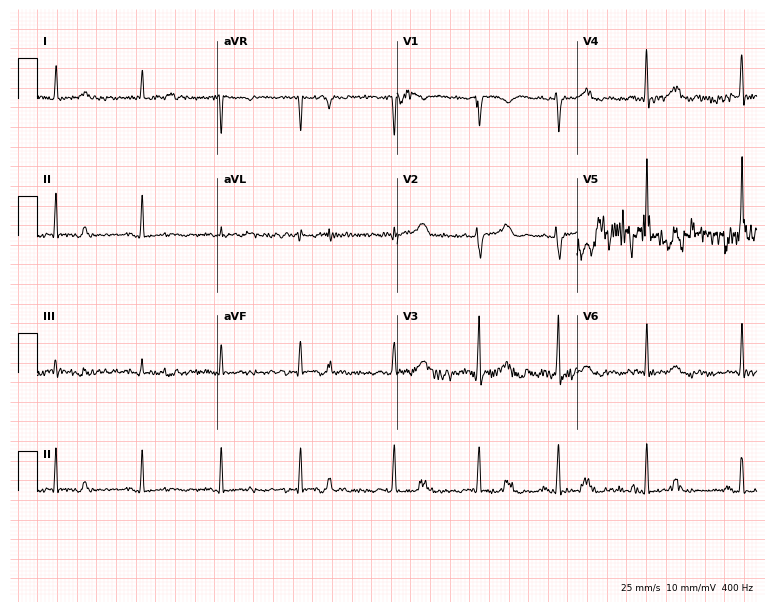
Electrocardiogram (7.3-second recording at 400 Hz), a female, 35 years old. Of the six screened findings (first-degree AV block, right bundle branch block, left bundle branch block, sinus bradycardia, atrial fibrillation, sinus tachycardia), none is recorded. Other findings, if any, are not listed.